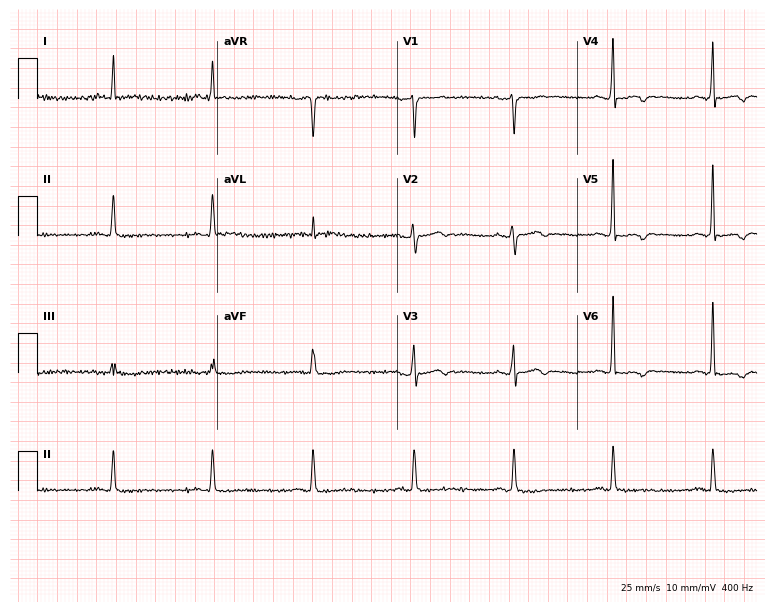
Electrocardiogram (7.3-second recording at 400 Hz), a male patient, 62 years old. Of the six screened findings (first-degree AV block, right bundle branch block, left bundle branch block, sinus bradycardia, atrial fibrillation, sinus tachycardia), none is recorded. Only these six findings were labelled.